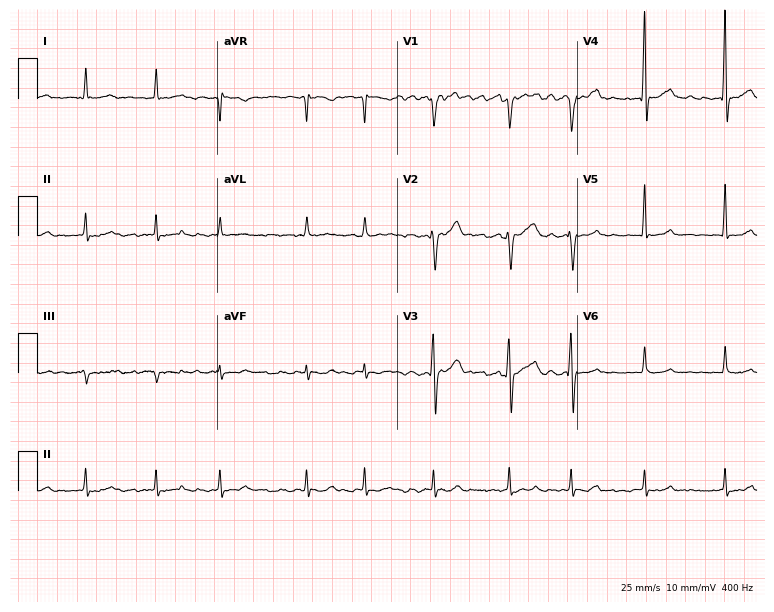
Standard 12-lead ECG recorded from a 74-year-old man. The tracing shows atrial fibrillation.